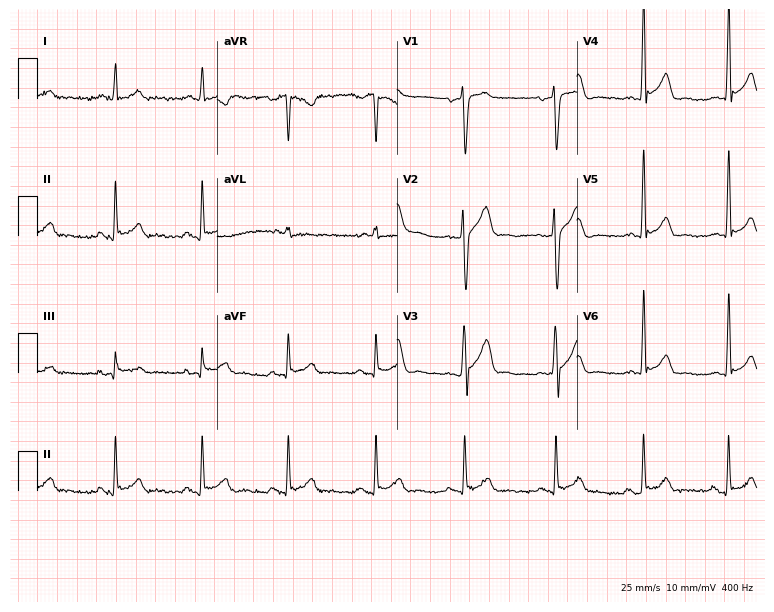
12-lead ECG from a 42-year-old man. No first-degree AV block, right bundle branch block, left bundle branch block, sinus bradycardia, atrial fibrillation or sinus tachycardia recorded for this tracing. Other findings, if any, are not listed.